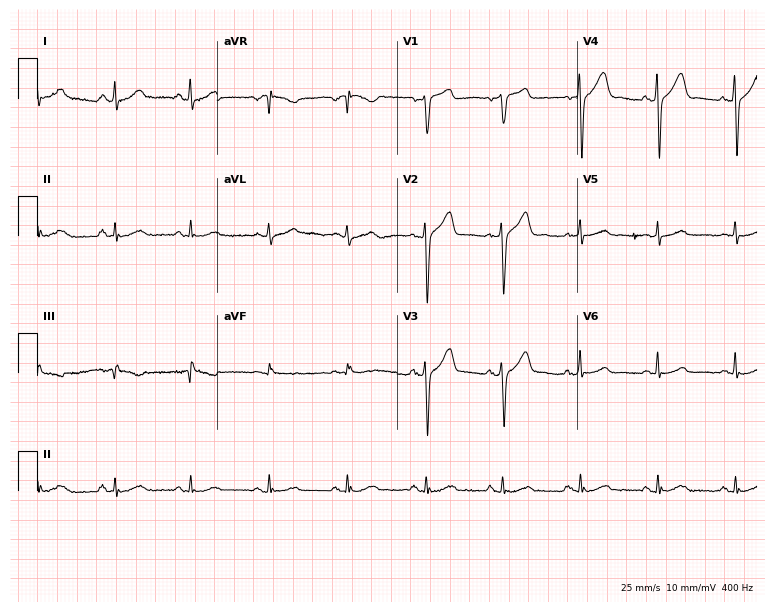
ECG (7.3-second recording at 400 Hz) — a man, 67 years old. Screened for six findings — first-degree AV block, right bundle branch block, left bundle branch block, sinus bradycardia, atrial fibrillation, sinus tachycardia — none is recorded. Only these six findings were labelled.